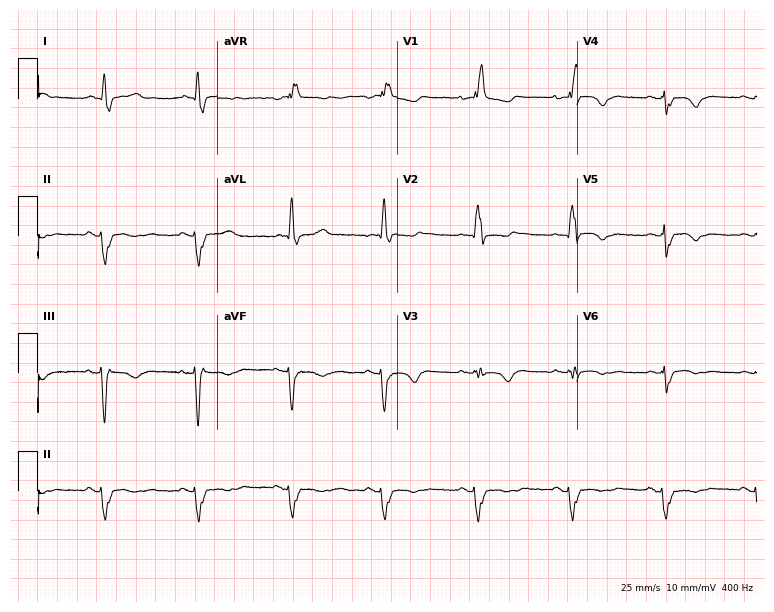
Resting 12-lead electrocardiogram. Patient: a 75-year-old female. The tracing shows right bundle branch block (RBBB).